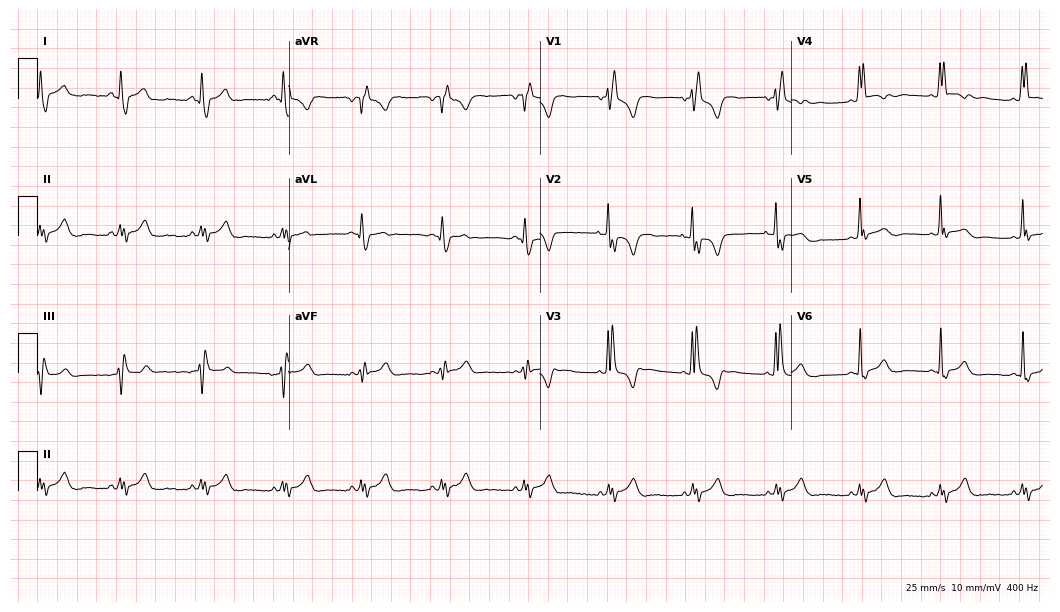
Resting 12-lead electrocardiogram (10.2-second recording at 400 Hz). Patient: a male, 29 years old. The tracing shows right bundle branch block.